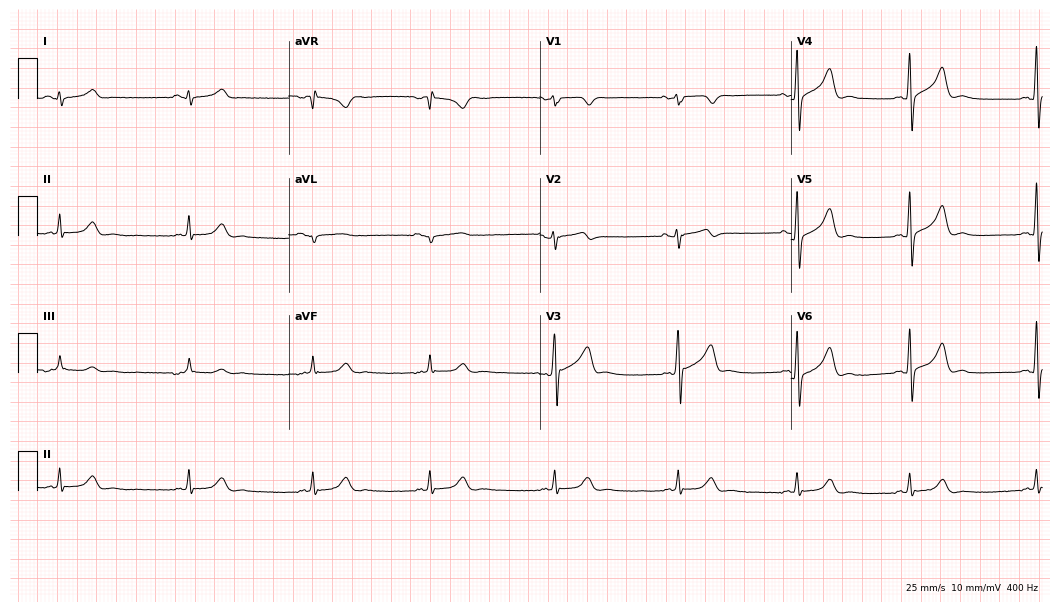
12-lead ECG from a man, 25 years old (10.2-second recording at 400 Hz). Shows sinus bradycardia (a sinus rate of 50 beats per minute or less).